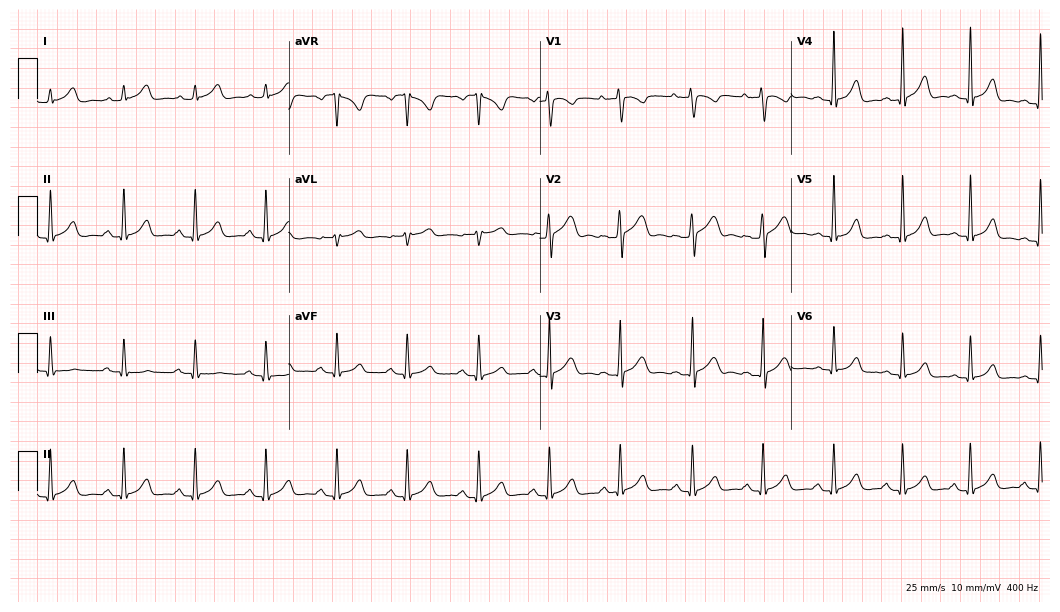
12-lead ECG from a 31-year-old male patient (10.2-second recording at 400 Hz). Recorded interpretation: within normal limits.